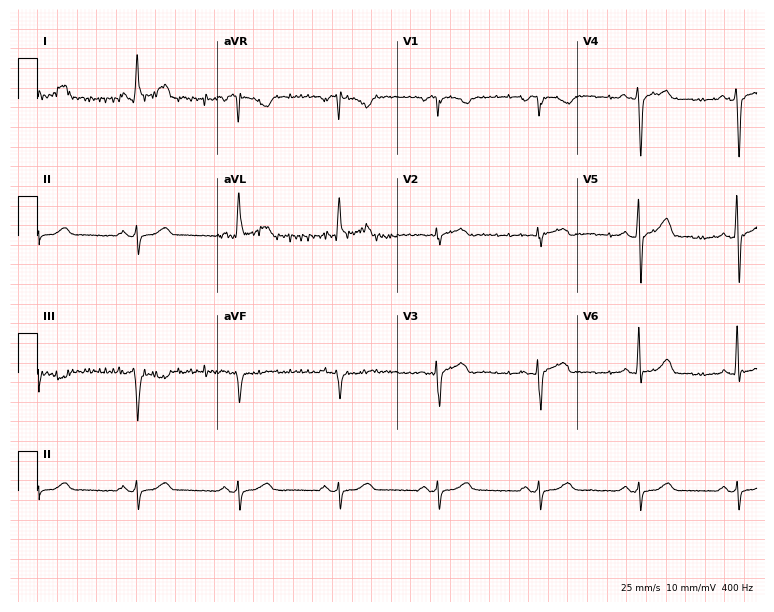
ECG (7.3-second recording at 400 Hz) — a 69-year-old man. Screened for six findings — first-degree AV block, right bundle branch block, left bundle branch block, sinus bradycardia, atrial fibrillation, sinus tachycardia — none is recorded. Findings outside these six are not listed.